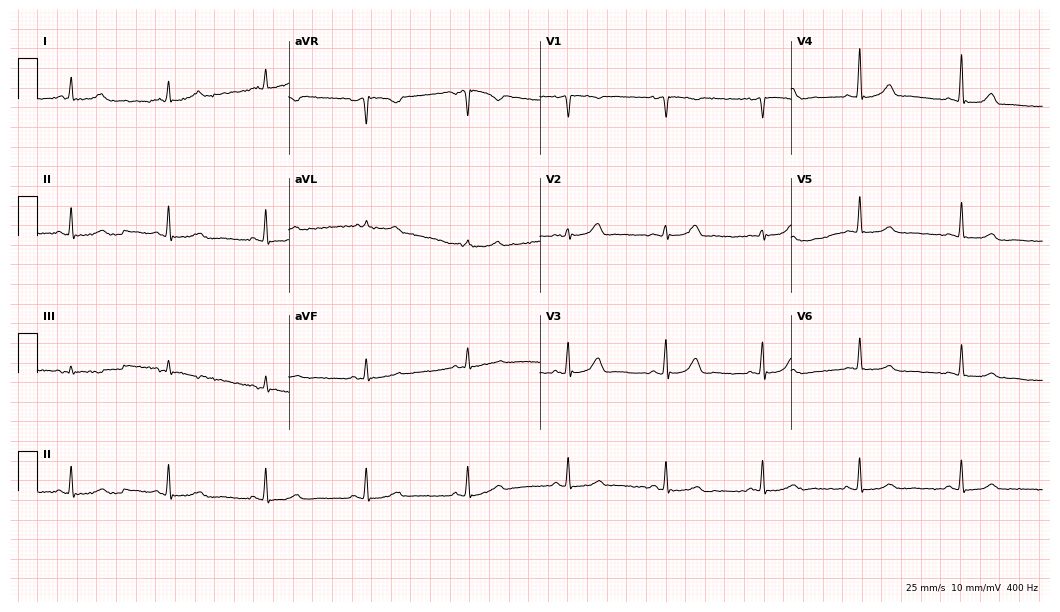
Standard 12-lead ECG recorded from a 57-year-old female. Read as a normal ECG.